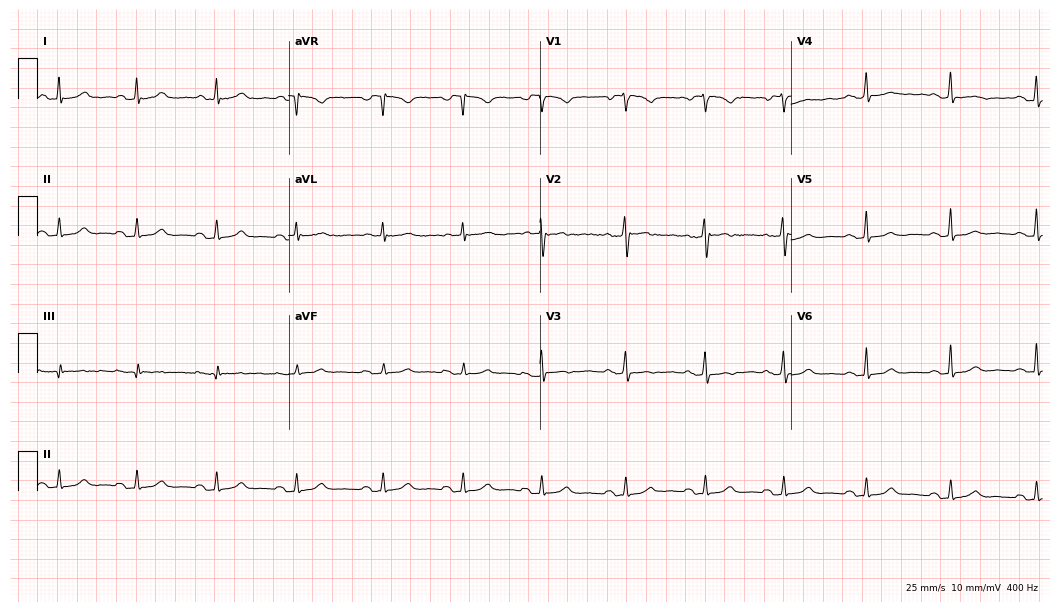
Standard 12-lead ECG recorded from a female patient, 41 years old. None of these six findings is recorded: first-degree AV block, right bundle branch block, left bundle branch block, sinus bradycardia, atrial fibrillation, sinus tachycardia. Only these six findings were labelled.